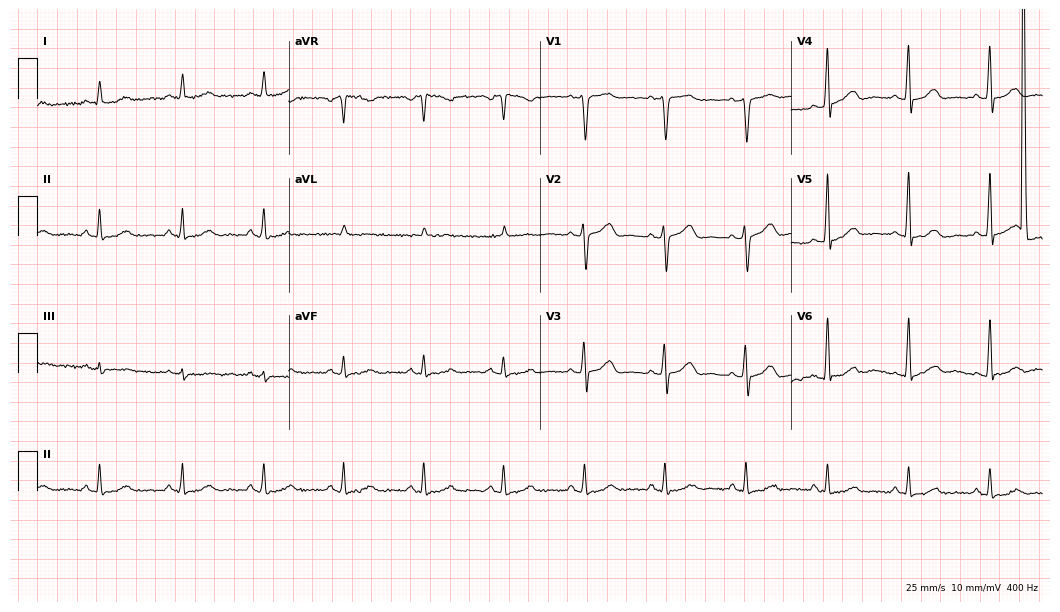
Standard 12-lead ECG recorded from a male, 51 years old (10.2-second recording at 400 Hz). Read as a normal ECG.